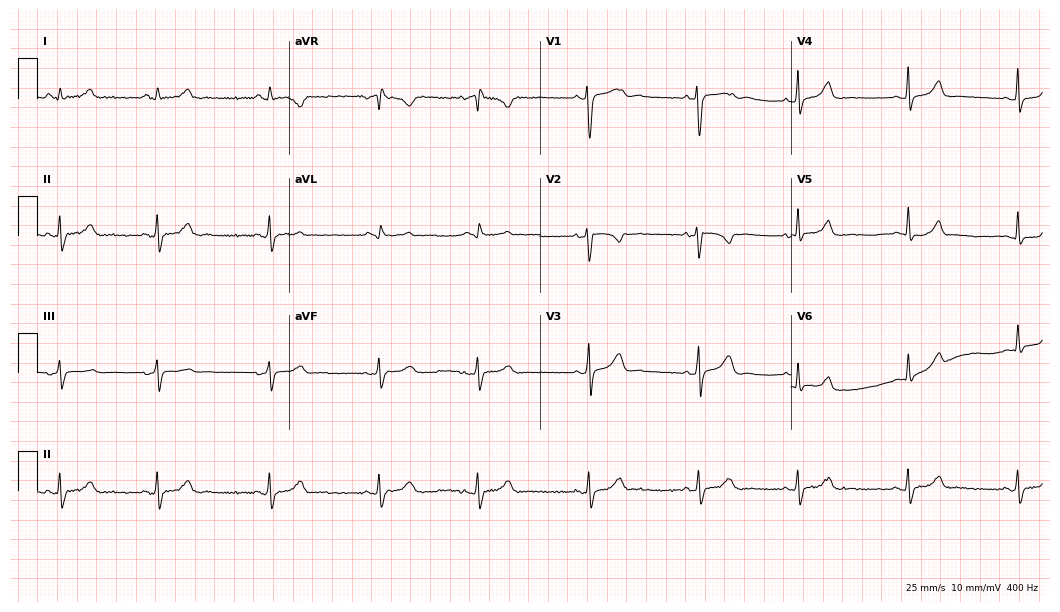
Electrocardiogram (10.2-second recording at 400 Hz), a woman, 18 years old. Overall reading on record: normal ECG.